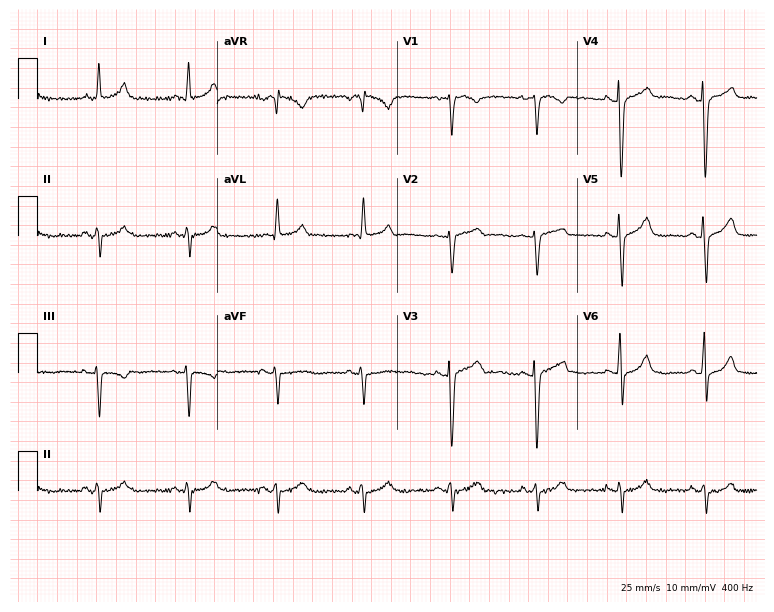
Standard 12-lead ECG recorded from a woman, 47 years old. None of these six findings is recorded: first-degree AV block, right bundle branch block, left bundle branch block, sinus bradycardia, atrial fibrillation, sinus tachycardia.